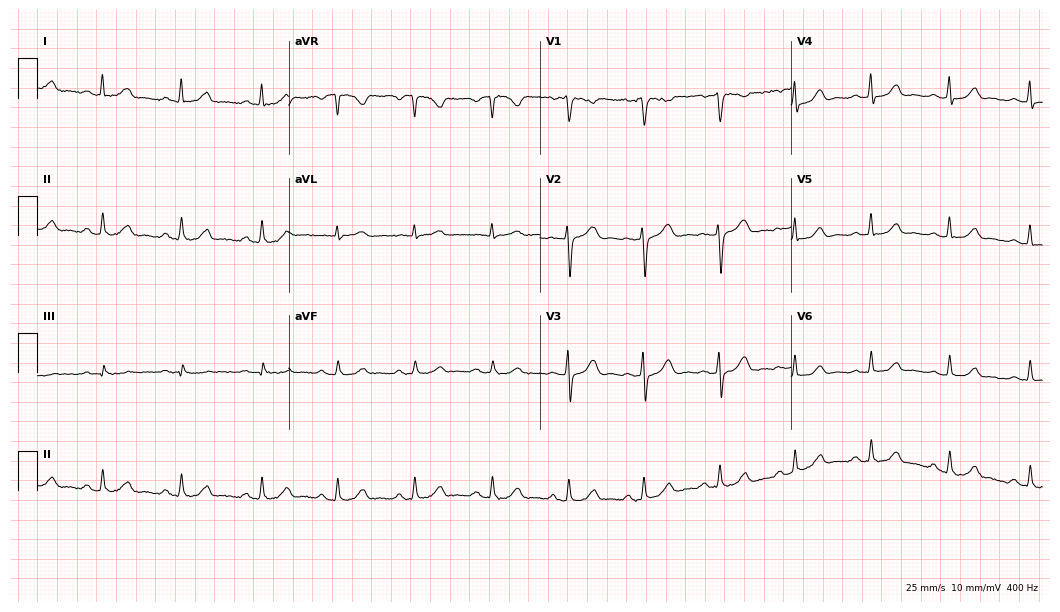
12-lead ECG (10.2-second recording at 400 Hz) from a female patient, 32 years old. Labelled as a normal ECG.